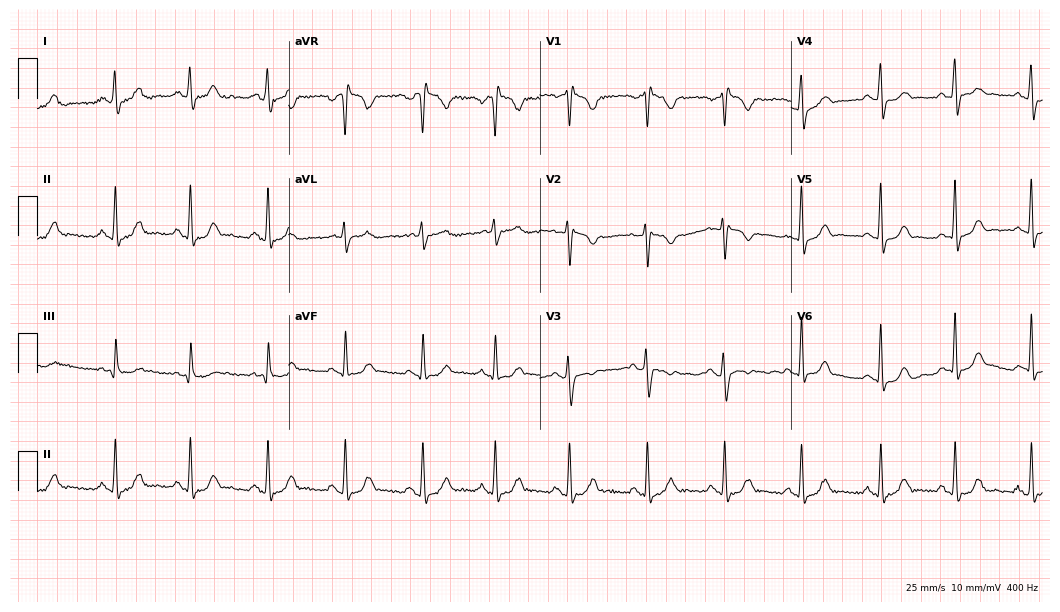
12-lead ECG from a 20-year-old woman. No first-degree AV block, right bundle branch block, left bundle branch block, sinus bradycardia, atrial fibrillation or sinus tachycardia recorded for this tracing. Findings outside these six are not listed.